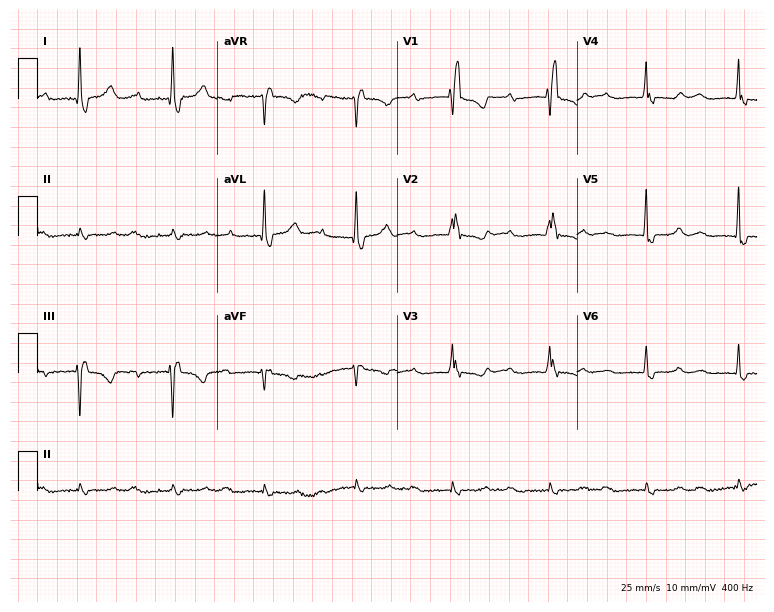
12-lead ECG from a female, 70 years old. Findings include first-degree AV block, right bundle branch block.